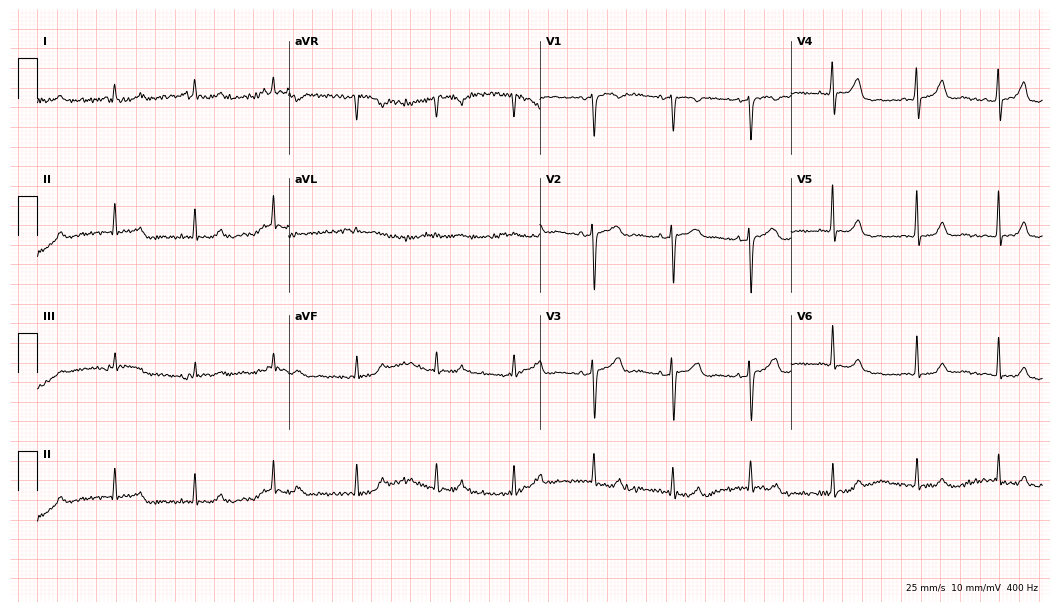
12-lead ECG from a 61-year-old woman (10.2-second recording at 400 Hz). Recorded interpretation: within normal limits.